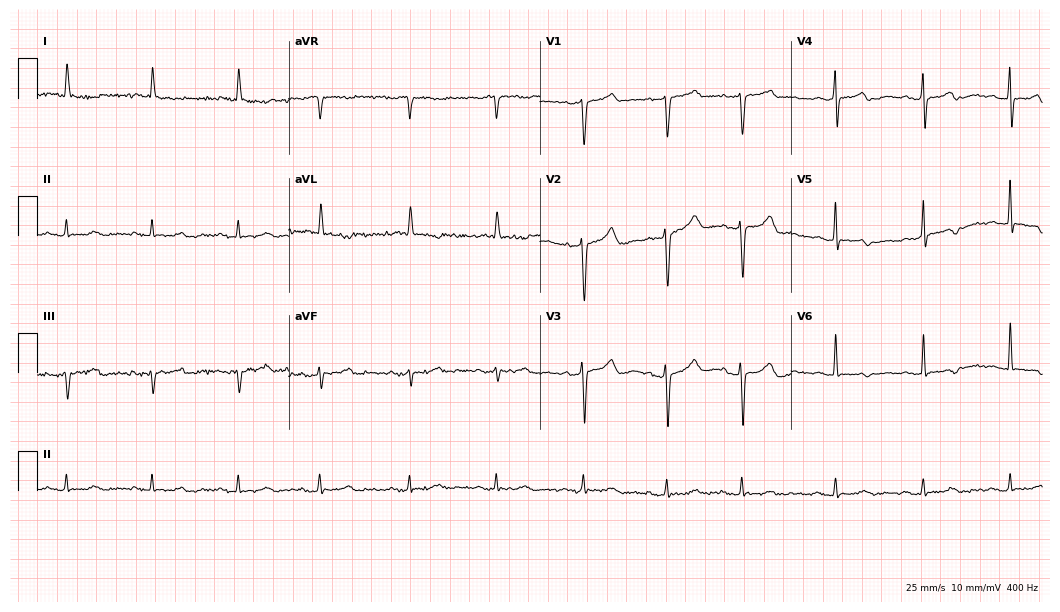
Standard 12-lead ECG recorded from a female patient, 85 years old. None of these six findings is recorded: first-degree AV block, right bundle branch block (RBBB), left bundle branch block (LBBB), sinus bradycardia, atrial fibrillation (AF), sinus tachycardia. Findings outside these six are not listed.